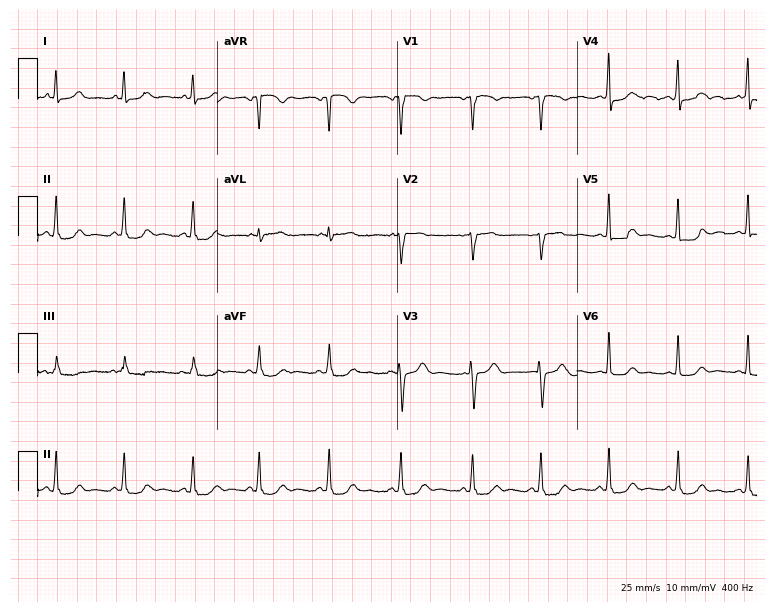
12-lead ECG (7.3-second recording at 400 Hz) from a female patient, 30 years old. Screened for six findings — first-degree AV block, right bundle branch block (RBBB), left bundle branch block (LBBB), sinus bradycardia, atrial fibrillation (AF), sinus tachycardia — none is recorded. Other findings, if any, are not listed.